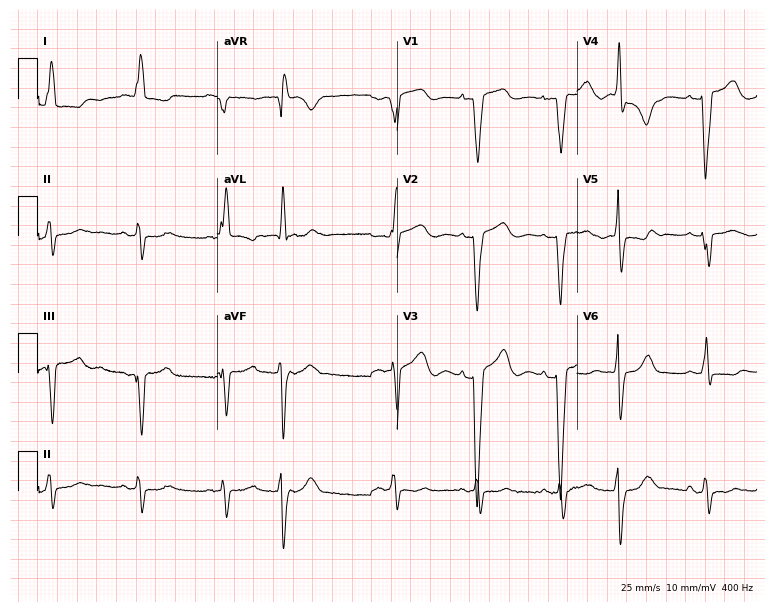
ECG — a woman, 63 years old. Screened for six findings — first-degree AV block, right bundle branch block, left bundle branch block, sinus bradycardia, atrial fibrillation, sinus tachycardia — none is recorded.